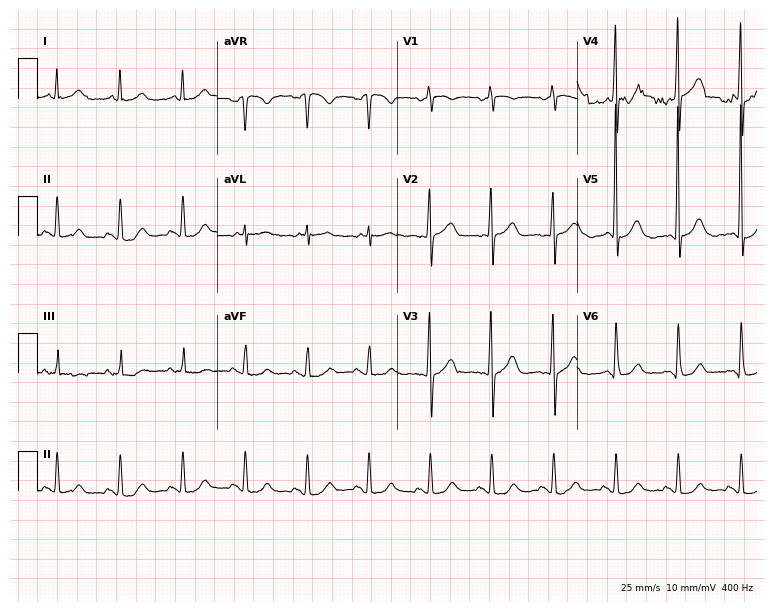
12-lead ECG from a 68-year-old female. Screened for six findings — first-degree AV block, right bundle branch block, left bundle branch block, sinus bradycardia, atrial fibrillation, sinus tachycardia — none is recorded.